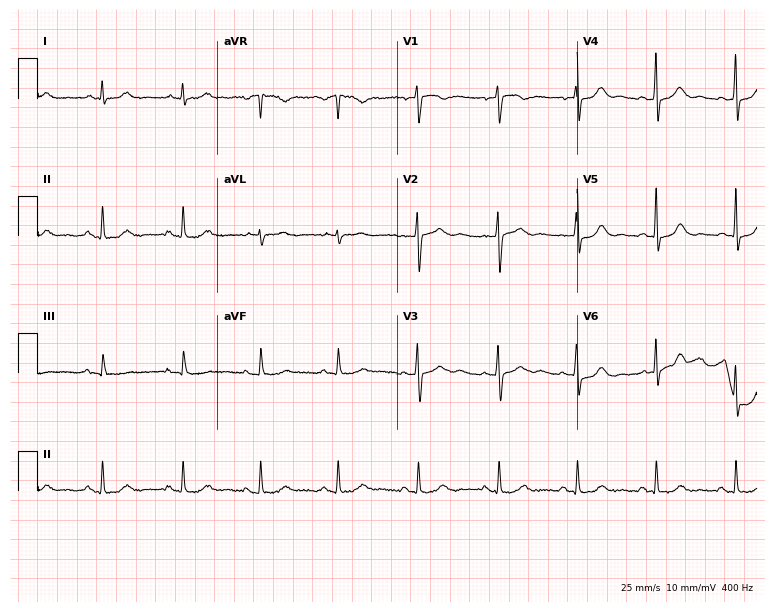
Electrocardiogram (7.3-second recording at 400 Hz), a woman, 43 years old. Overall reading on record: normal ECG.